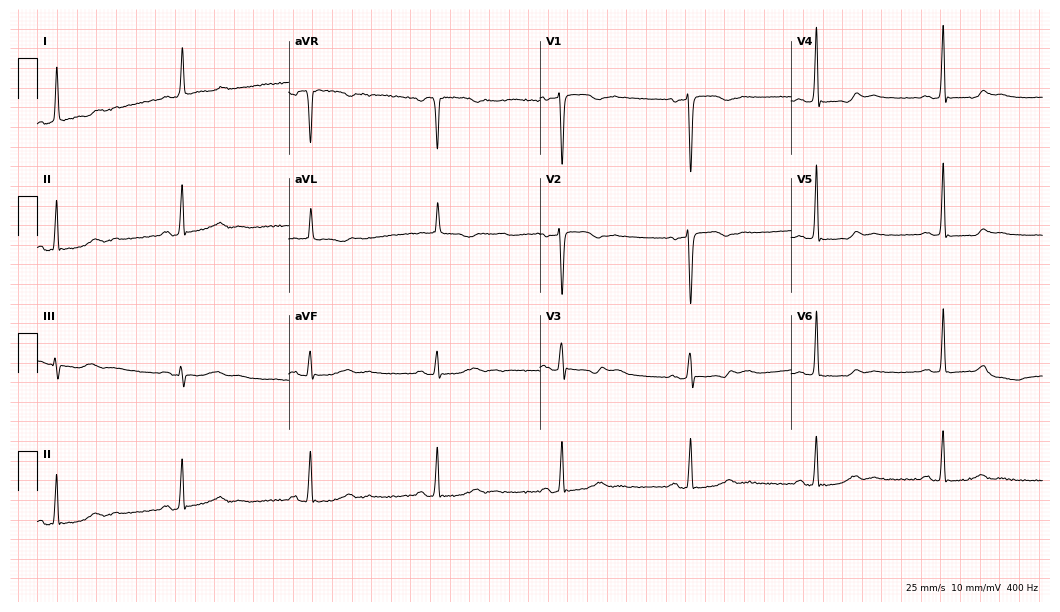
ECG (10.2-second recording at 400 Hz) — a female patient, 60 years old. Findings include sinus bradycardia (a sinus rate of 50 beats per minute or less).